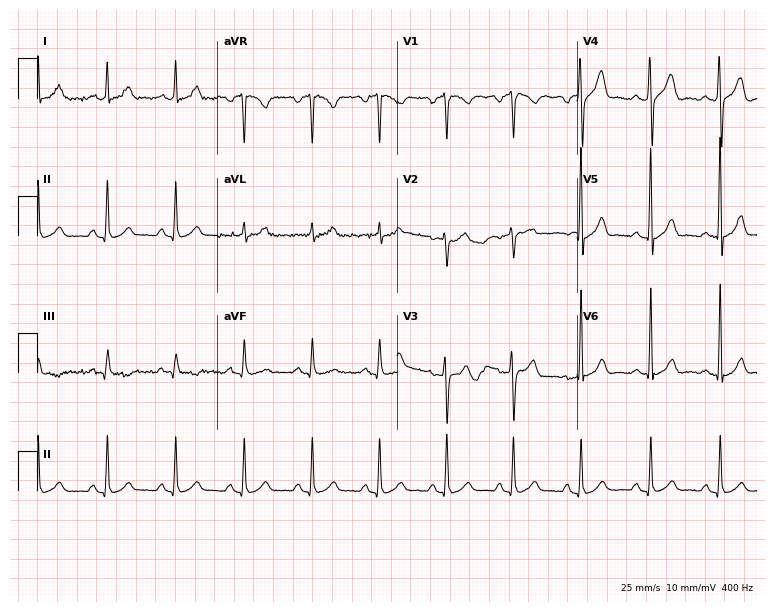
Resting 12-lead electrocardiogram. Patient: a male, 43 years old. None of these six findings is recorded: first-degree AV block, right bundle branch block, left bundle branch block, sinus bradycardia, atrial fibrillation, sinus tachycardia.